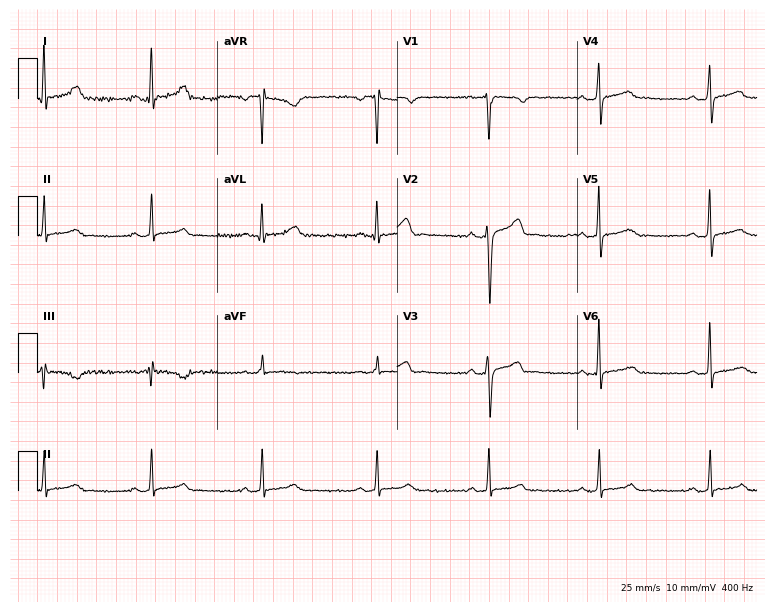
Resting 12-lead electrocardiogram. Patient: a male, 27 years old. None of these six findings is recorded: first-degree AV block, right bundle branch block (RBBB), left bundle branch block (LBBB), sinus bradycardia, atrial fibrillation (AF), sinus tachycardia.